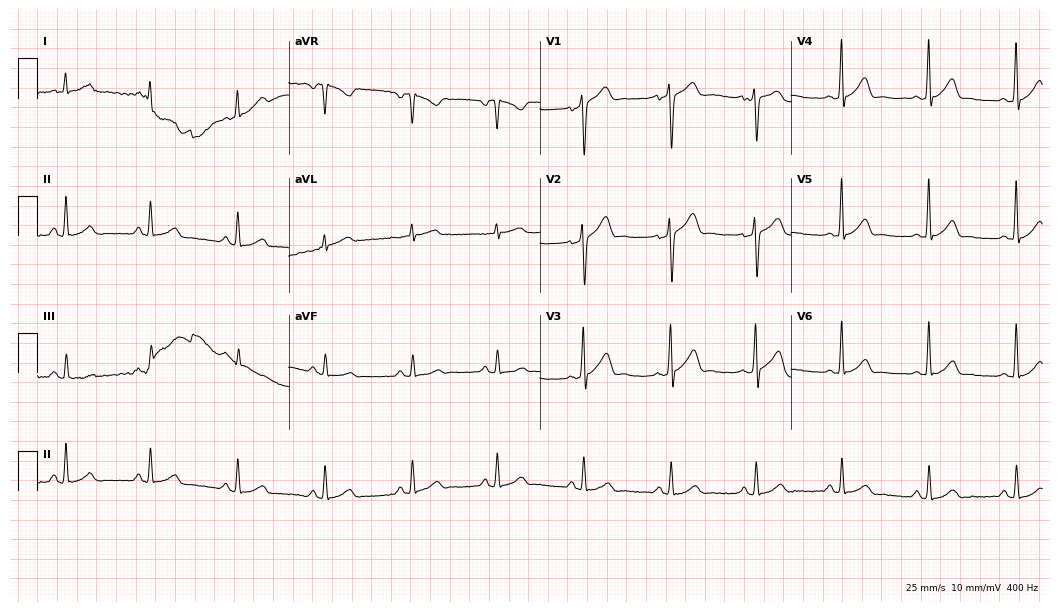
Standard 12-lead ECG recorded from a man, 43 years old (10.2-second recording at 400 Hz). Read as a normal ECG.